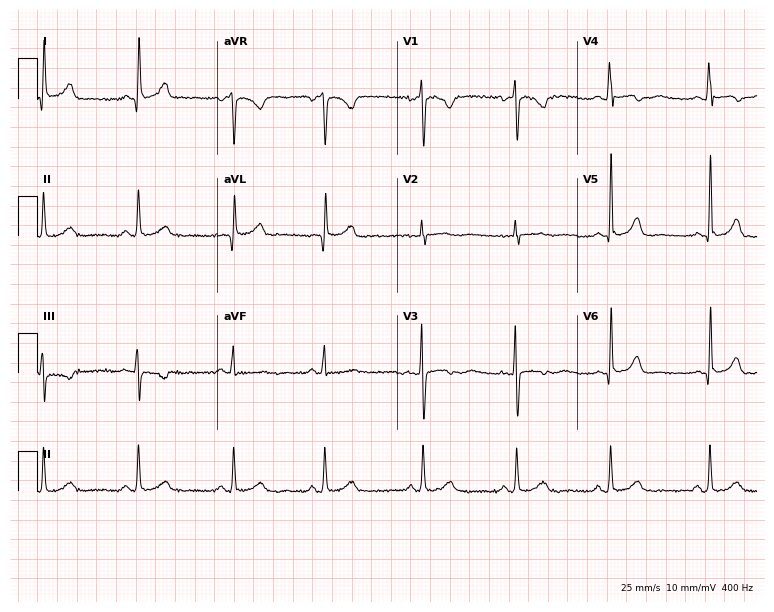
12-lead ECG from a 21-year-old woman. No first-degree AV block, right bundle branch block, left bundle branch block, sinus bradycardia, atrial fibrillation or sinus tachycardia recorded for this tracing. Findings outside these six are not listed.